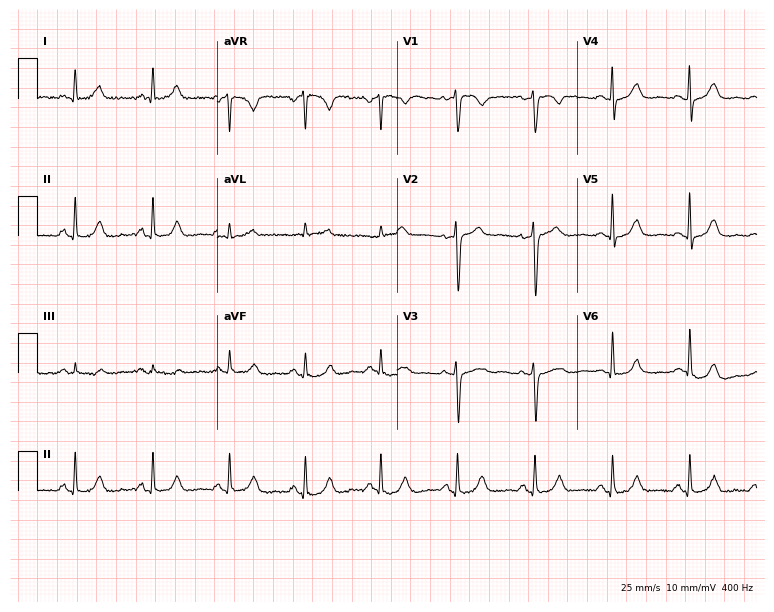
12-lead ECG from a female, 52 years old (7.3-second recording at 400 Hz). No first-degree AV block, right bundle branch block, left bundle branch block, sinus bradycardia, atrial fibrillation or sinus tachycardia recorded for this tracing.